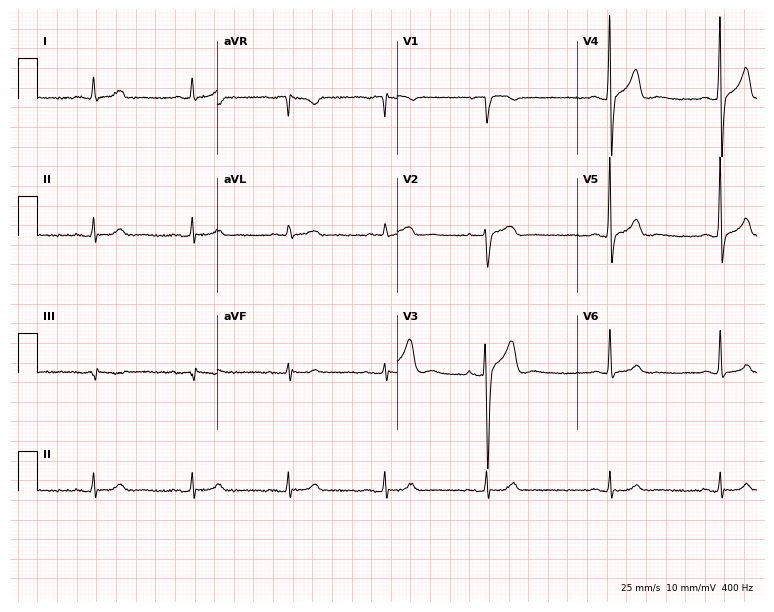
Resting 12-lead electrocardiogram. Patient: a male, 59 years old. None of these six findings is recorded: first-degree AV block, right bundle branch block, left bundle branch block, sinus bradycardia, atrial fibrillation, sinus tachycardia.